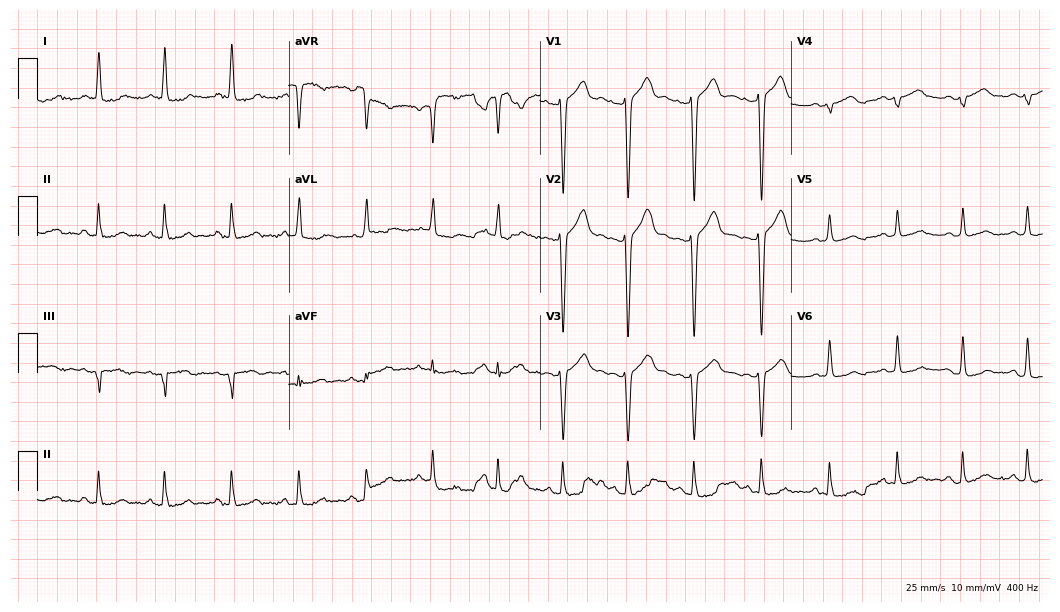
Standard 12-lead ECG recorded from a 48-year-old male (10.2-second recording at 400 Hz). None of these six findings is recorded: first-degree AV block, right bundle branch block, left bundle branch block, sinus bradycardia, atrial fibrillation, sinus tachycardia.